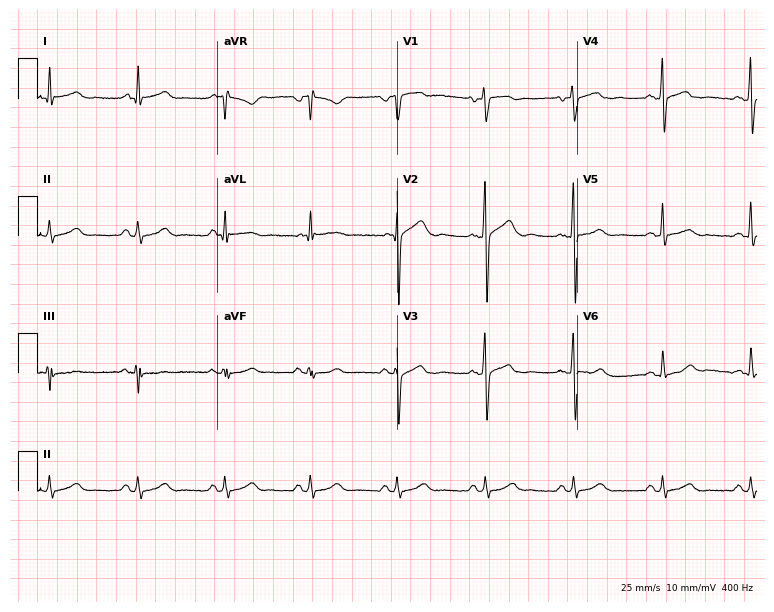
Electrocardiogram (7.3-second recording at 400 Hz), a male, 61 years old. Of the six screened findings (first-degree AV block, right bundle branch block, left bundle branch block, sinus bradycardia, atrial fibrillation, sinus tachycardia), none is recorded.